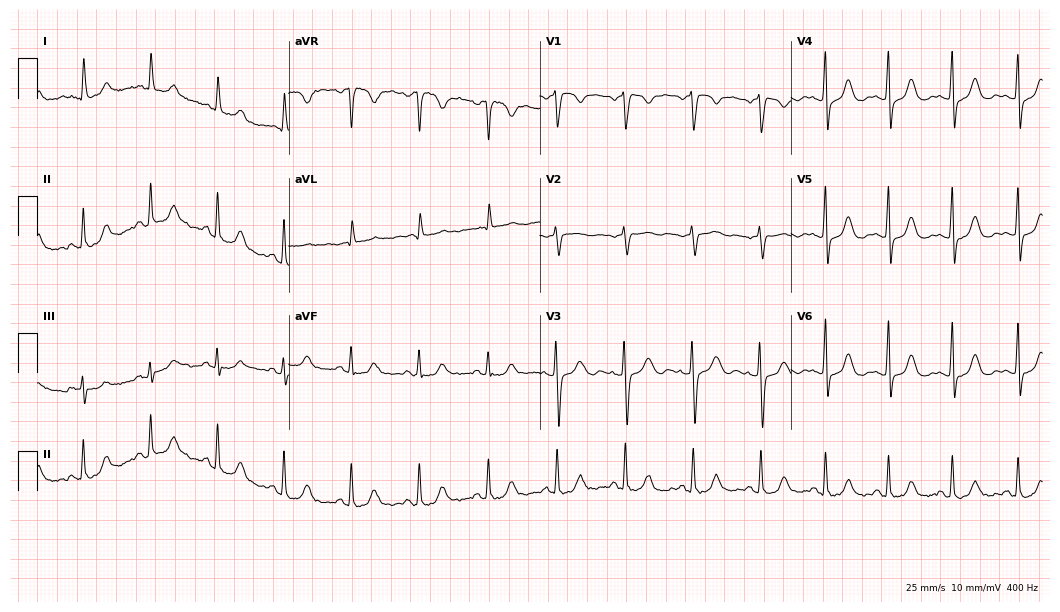
ECG — a 72-year-old woman. Labelled as a normal ECG.